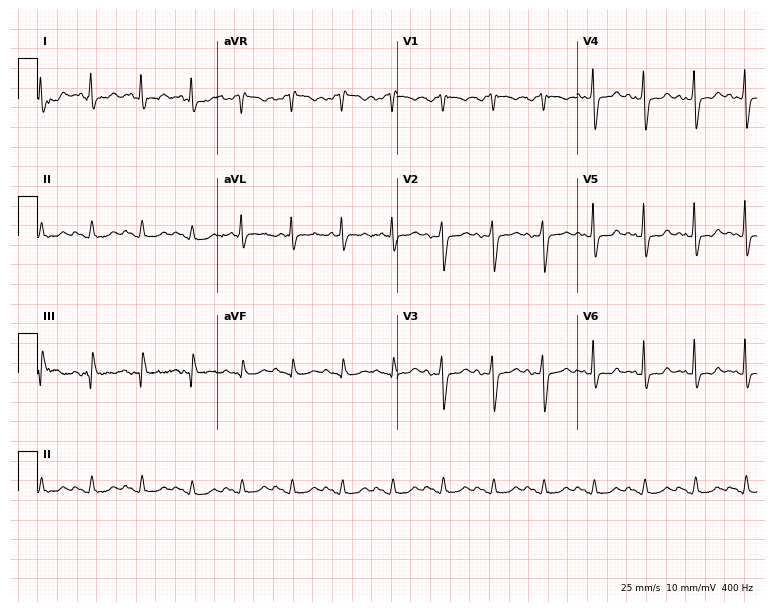
Electrocardiogram (7.3-second recording at 400 Hz), a male patient, 72 years old. Of the six screened findings (first-degree AV block, right bundle branch block, left bundle branch block, sinus bradycardia, atrial fibrillation, sinus tachycardia), none is recorded. Other findings, if any, are not listed.